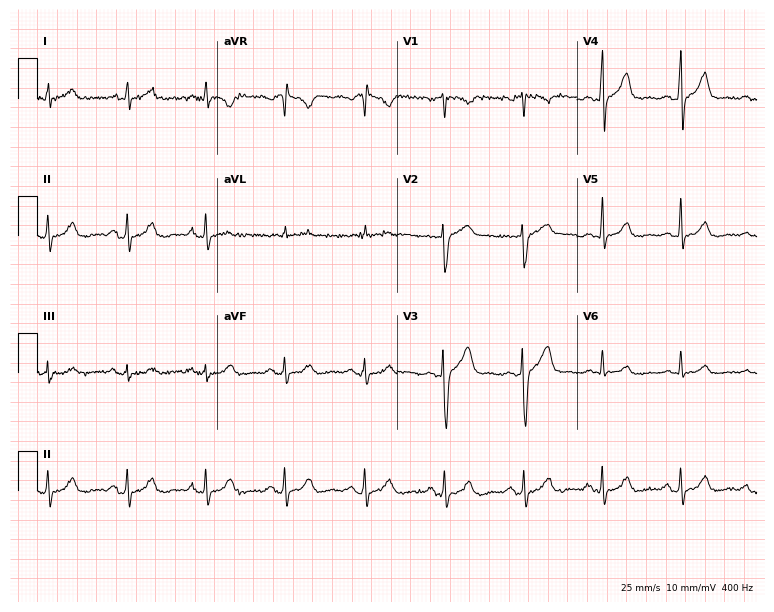
Standard 12-lead ECG recorded from a 56-year-old man (7.3-second recording at 400 Hz). Read as a normal ECG.